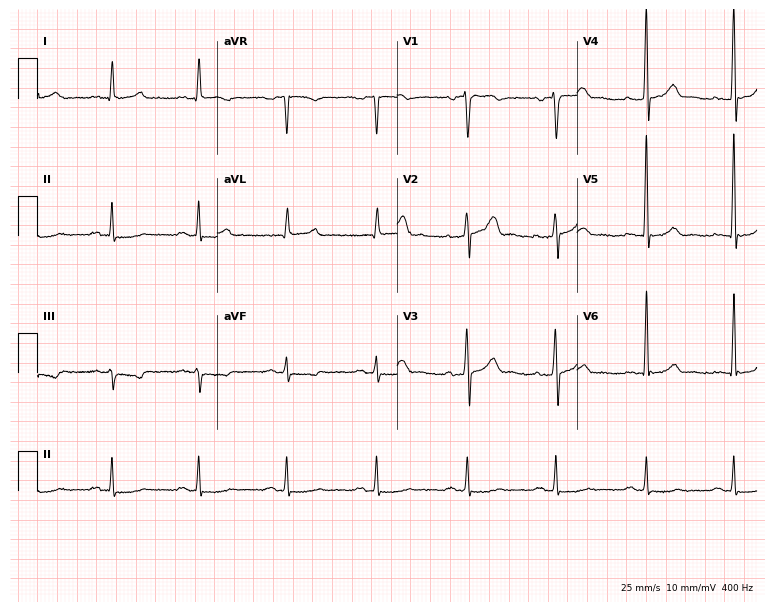
ECG (7.3-second recording at 400 Hz) — a man, 58 years old. Screened for six findings — first-degree AV block, right bundle branch block, left bundle branch block, sinus bradycardia, atrial fibrillation, sinus tachycardia — none is recorded.